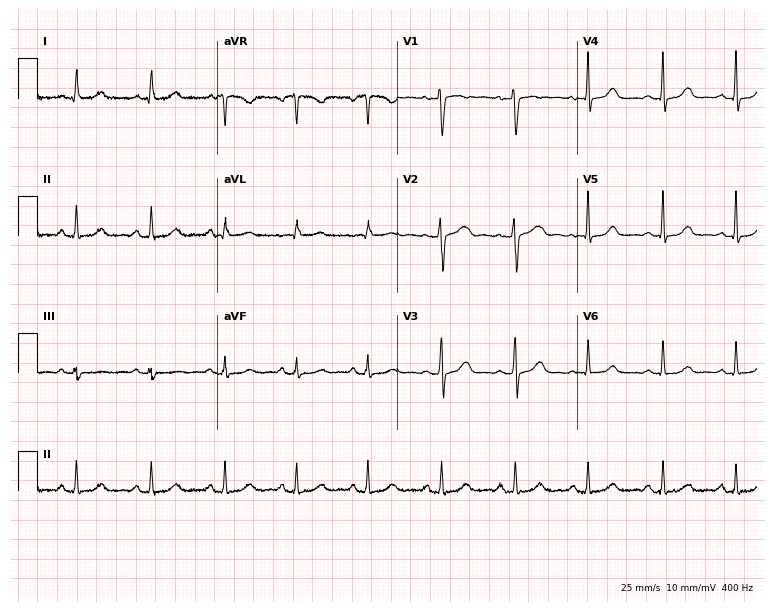
Resting 12-lead electrocardiogram (7.3-second recording at 400 Hz). Patient: a female, 49 years old. Read as a normal ECG.